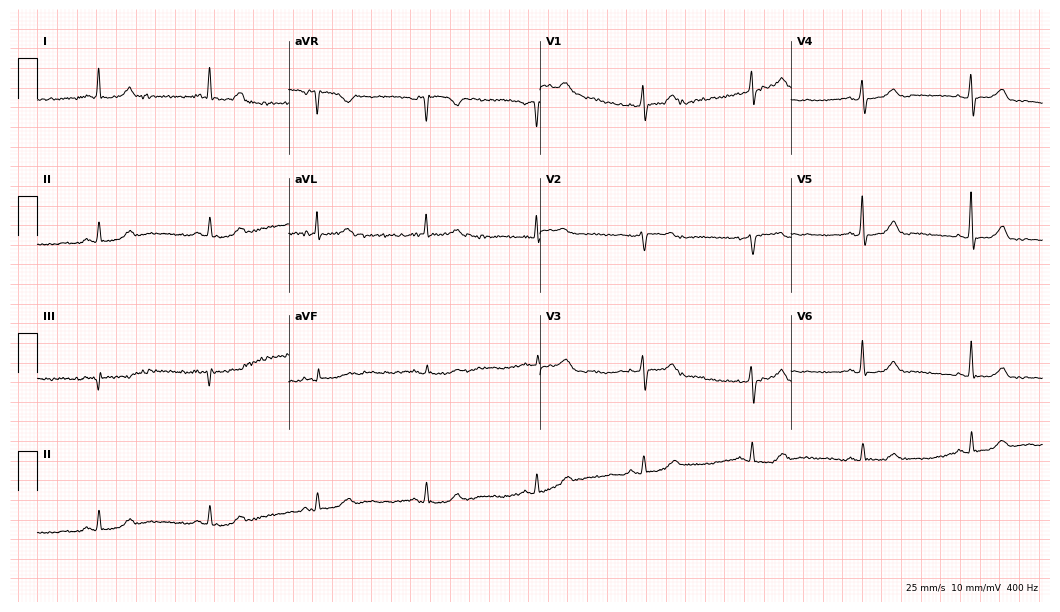
Standard 12-lead ECG recorded from a 58-year-old female patient (10.2-second recording at 400 Hz). Read as a normal ECG.